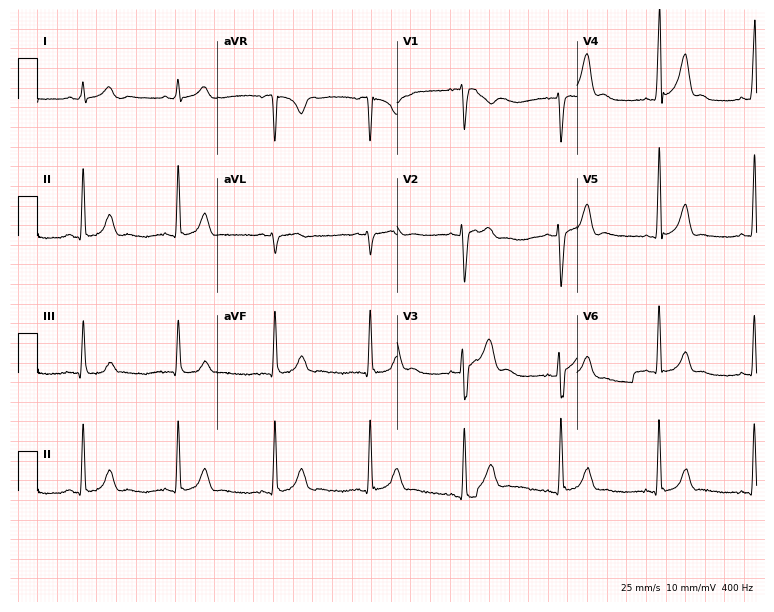
12-lead ECG from a 32-year-old male patient (7.3-second recording at 400 Hz). Recorded interpretation: within normal limits.